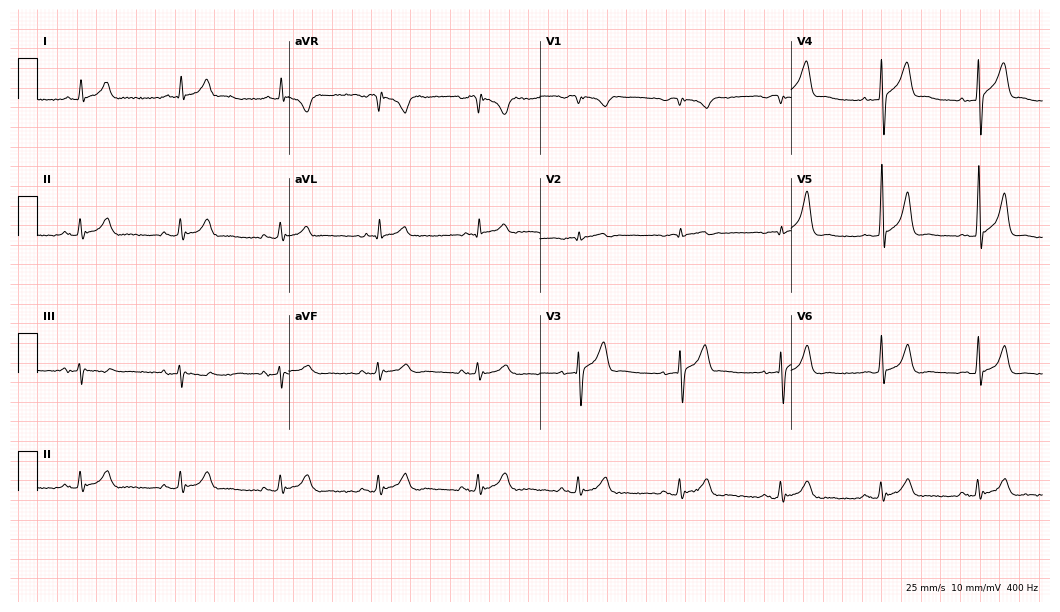
12-lead ECG from a male, 66 years old. Labelled as a normal ECG.